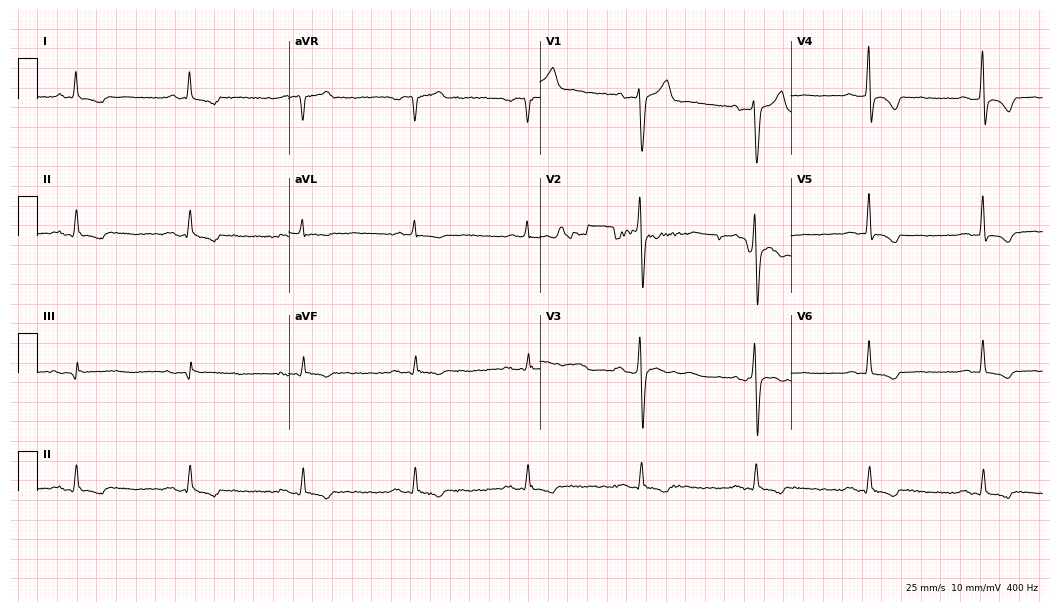
Electrocardiogram, a male patient, 49 years old. Of the six screened findings (first-degree AV block, right bundle branch block, left bundle branch block, sinus bradycardia, atrial fibrillation, sinus tachycardia), none is recorded. Only these six findings were labelled.